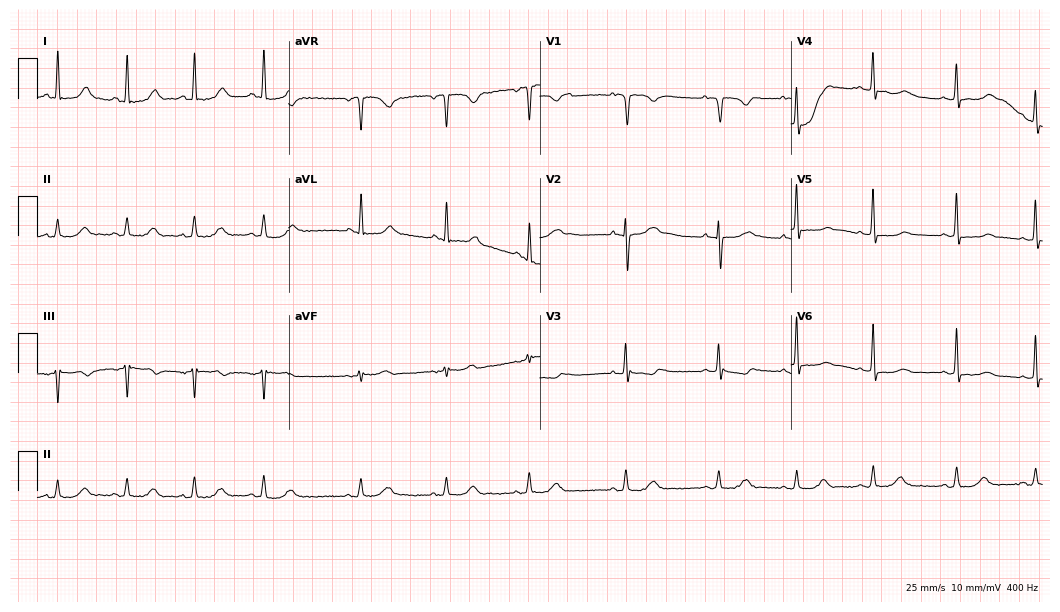
Resting 12-lead electrocardiogram (10.2-second recording at 400 Hz). Patient: a 20-year-old man. Read as a normal ECG.